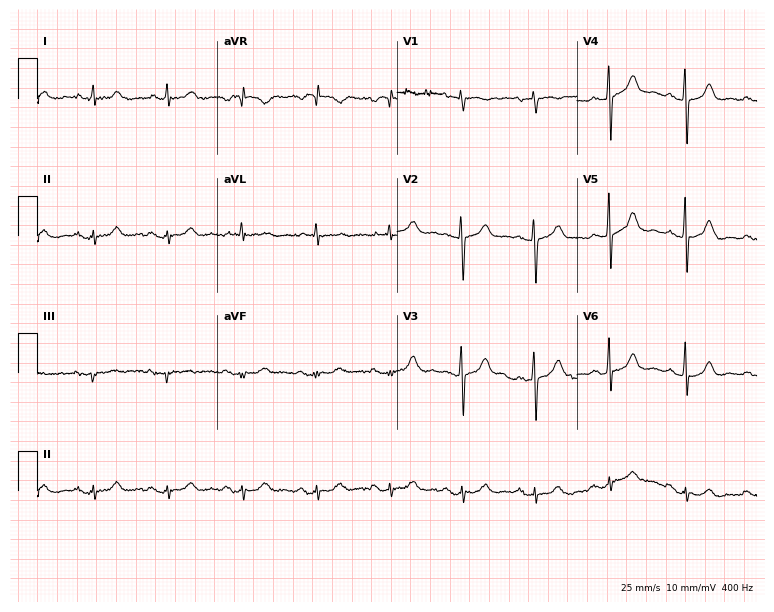
12-lead ECG (7.3-second recording at 400 Hz) from a female patient, 75 years old. Screened for six findings — first-degree AV block, right bundle branch block (RBBB), left bundle branch block (LBBB), sinus bradycardia, atrial fibrillation (AF), sinus tachycardia — none is recorded.